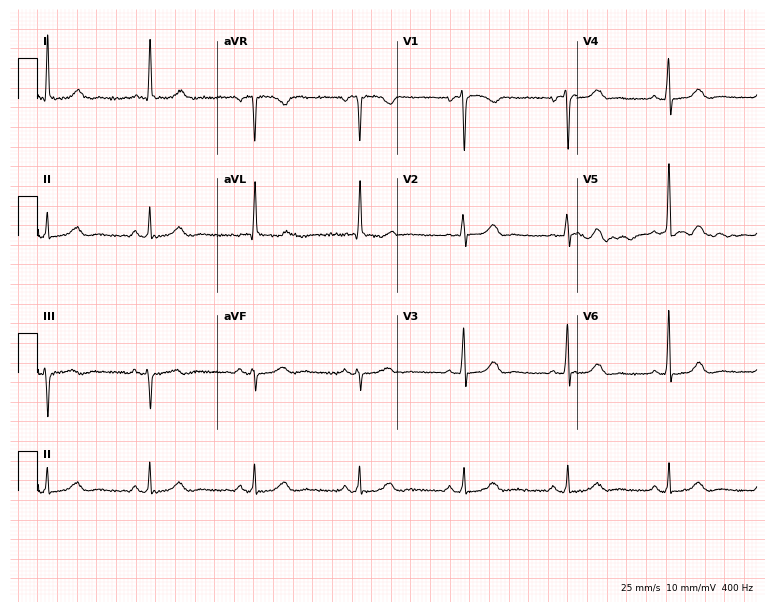
Standard 12-lead ECG recorded from a woman, 66 years old. Read as a normal ECG.